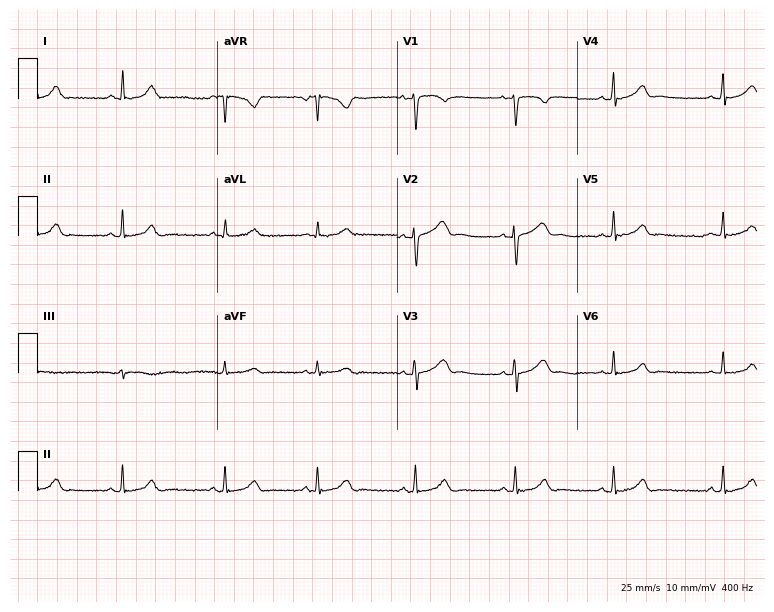
12-lead ECG from a female, 19 years old (7.3-second recording at 400 Hz). Recorded interpretation: within normal limits.